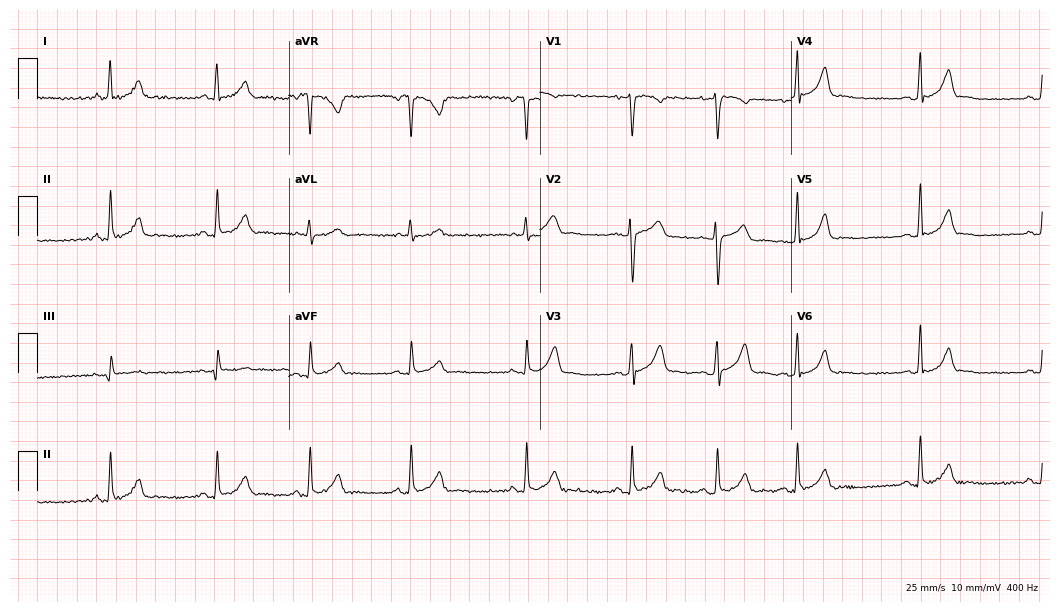
Electrocardiogram (10.2-second recording at 400 Hz), a 20-year-old female patient. Overall reading on record: normal ECG.